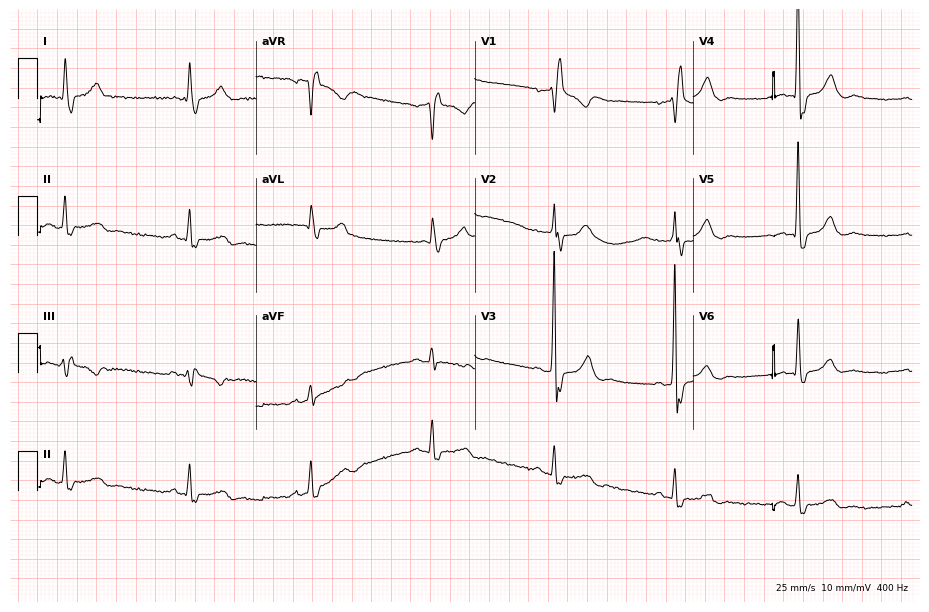
ECG (8.9-second recording at 400 Hz) — a 67-year-old male. Findings include right bundle branch block, sinus bradycardia (a sinus rate of 50 beats per minute or less).